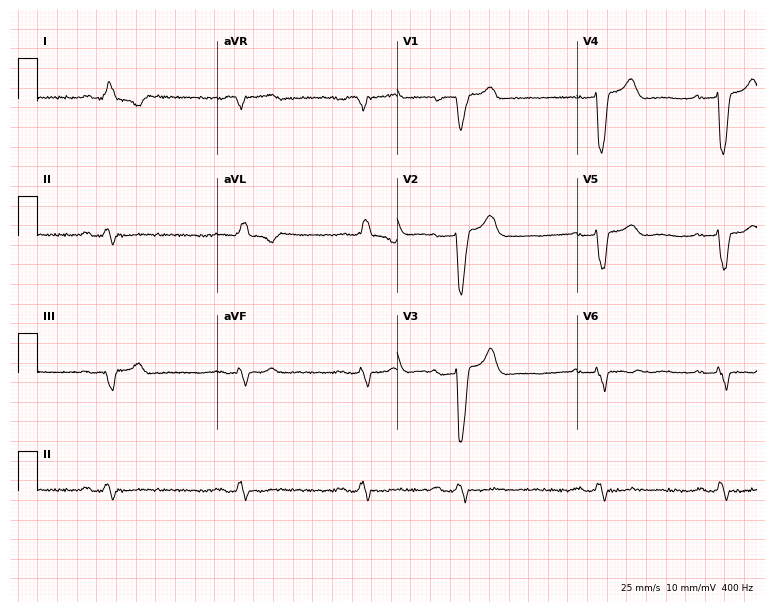
Electrocardiogram, a female, 83 years old. Interpretation includes first-degree AV block, left bundle branch block, sinus bradycardia (a sinus rate of 50 beats per minute or less).